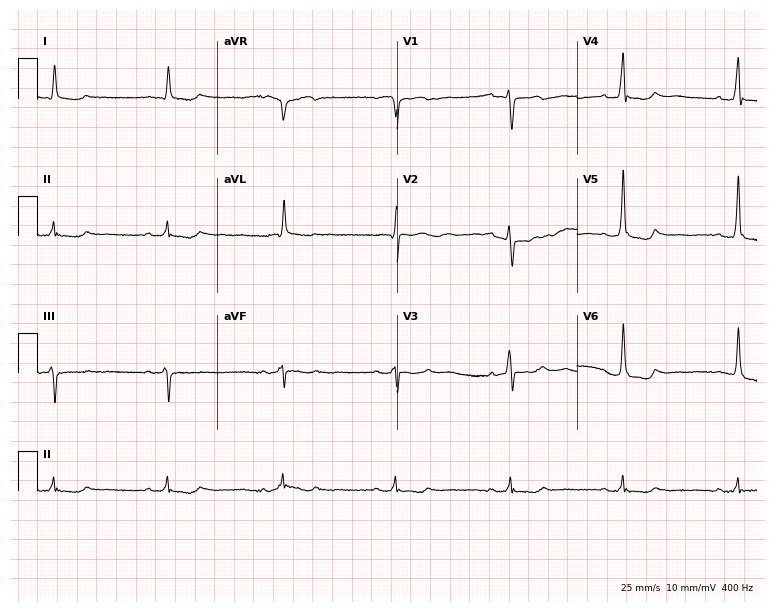
12-lead ECG from an 84-year-old male patient. Screened for six findings — first-degree AV block, right bundle branch block, left bundle branch block, sinus bradycardia, atrial fibrillation, sinus tachycardia — none is recorded.